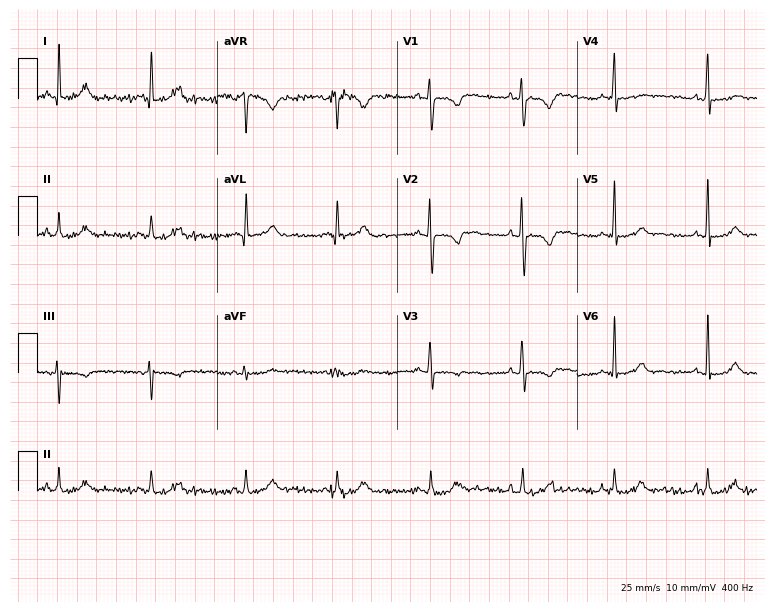
Resting 12-lead electrocardiogram (7.3-second recording at 400 Hz). Patient: a female, 27 years old. None of these six findings is recorded: first-degree AV block, right bundle branch block, left bundle branch block, sinus bradycardia, atrial fibrillation, sinus tachycardia.